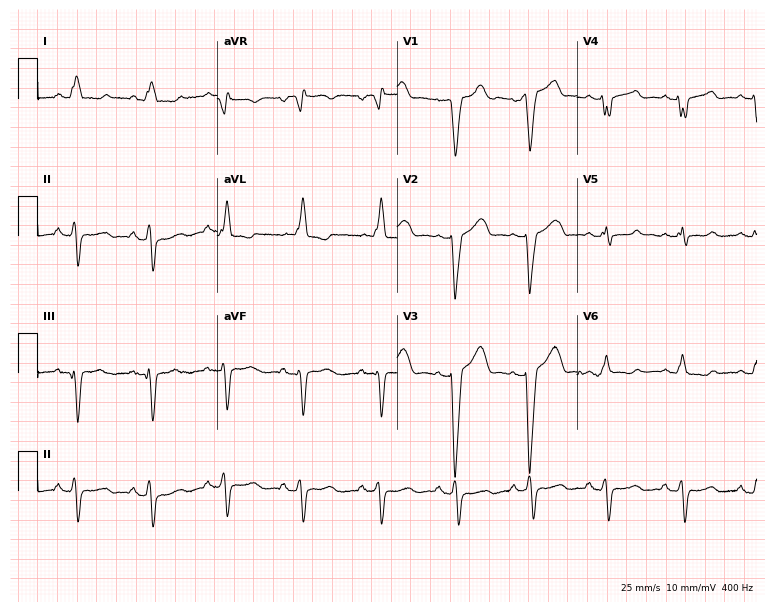
ECG — a female, 66 years old. Screened for six findings — first-degree AV block, right bundle branch block, left bundle branch block, sinus bradycardia, atrial fibrillation, sinus tachycardia — none is recorded.